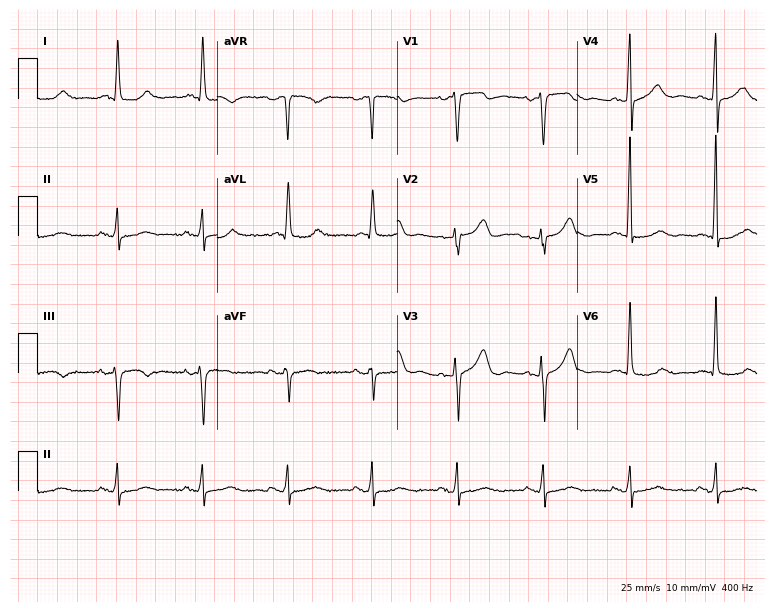
Electrocardiogram (7.3-second recording at 400 Hz), a male, 59 years old. Of the six screened findings (first-degree AV block, right bundle branch block (RBBB), left bundle branch block (LBBB), sinus bradycardia, atrial fibrillation (AF), sinus tachycardia), none is recorded. Only these six findings were labelled.